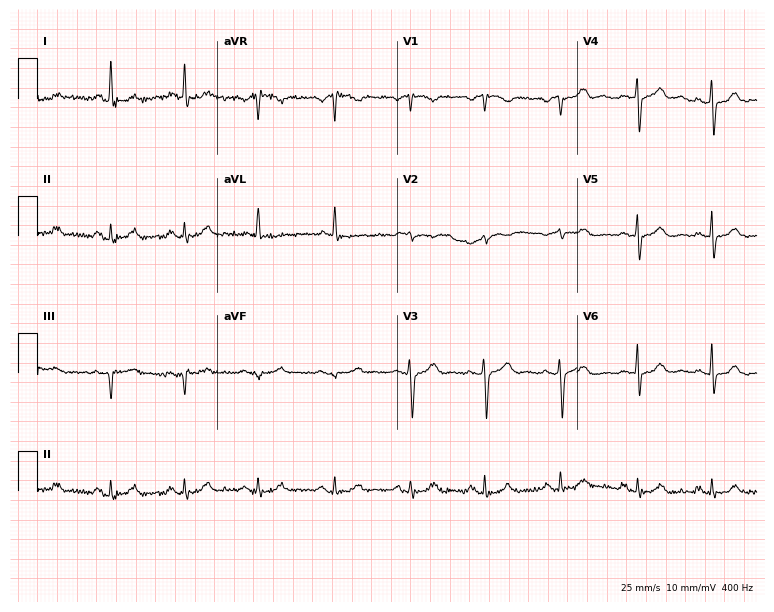
Standard 12-lead ECG recorded from a 62-year-old male patient (7.3-second recording at 400 Hz). None of these six findings is recorded: first-degree AV block, right bundle branch block (RBBB), left bundle branch block (LBBB), sinus bradycardia, atrial fibrillation (AF), sinus tachycardia. Only these six findings were labelled.